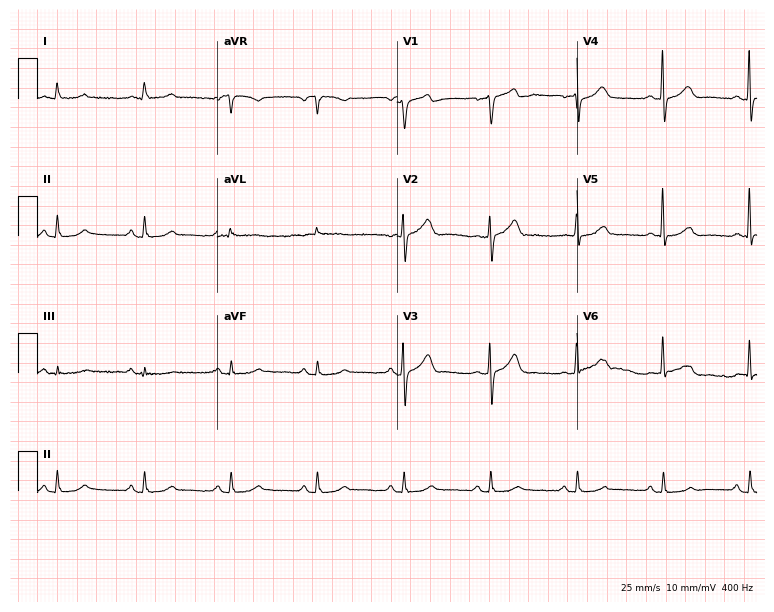
Resting 12-lead electrocardiogram. Patient: a male, 78 years old. None of these six findings is recorded: first-degree AV block, right bundle branch block, left bundle branch block, sinus bradycardia, atrial fibrillation, sinus tachycardia. Other findings, if any, are not listed.